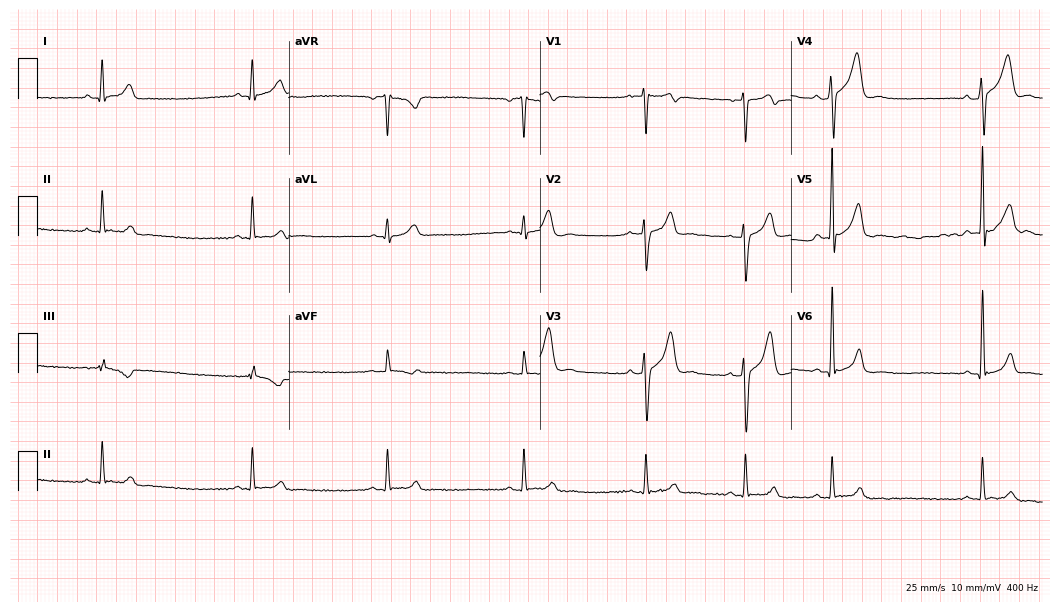
Resting 12-lead electrocardiogram (10.2-second recording at 400 Hz). Patient: a male, 27 years old. Read as a normal ECG.